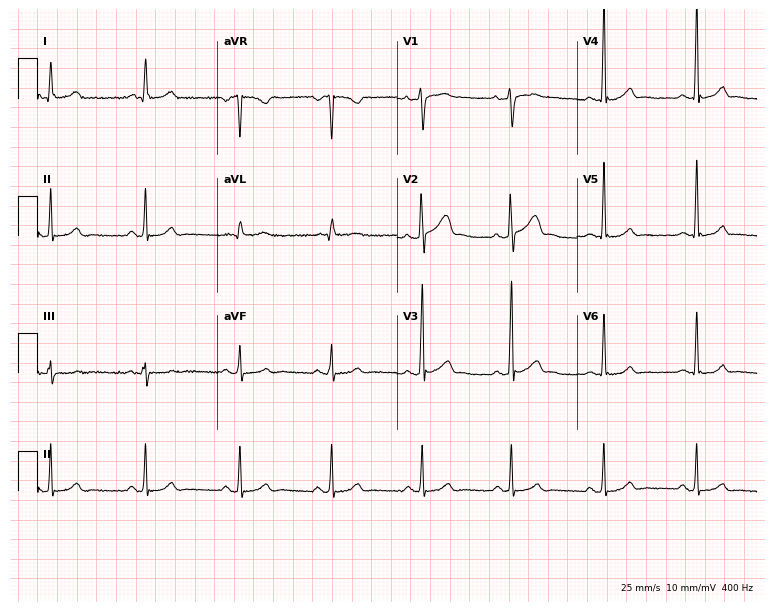
ECG — a man, 41 years old. Labelled as a normal ECG.